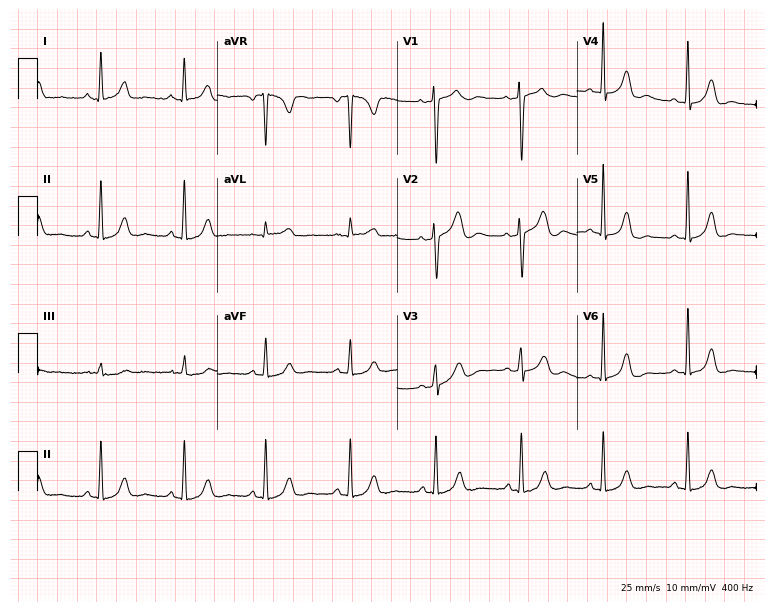
12-lead ECG from a woman, 29 years old. Screened for six findings — first-degree AV block, right bundle branch block, left bundle branch block, sinus bradycardia, atrial fibrillation, sinus tachycardia — none is recorded.